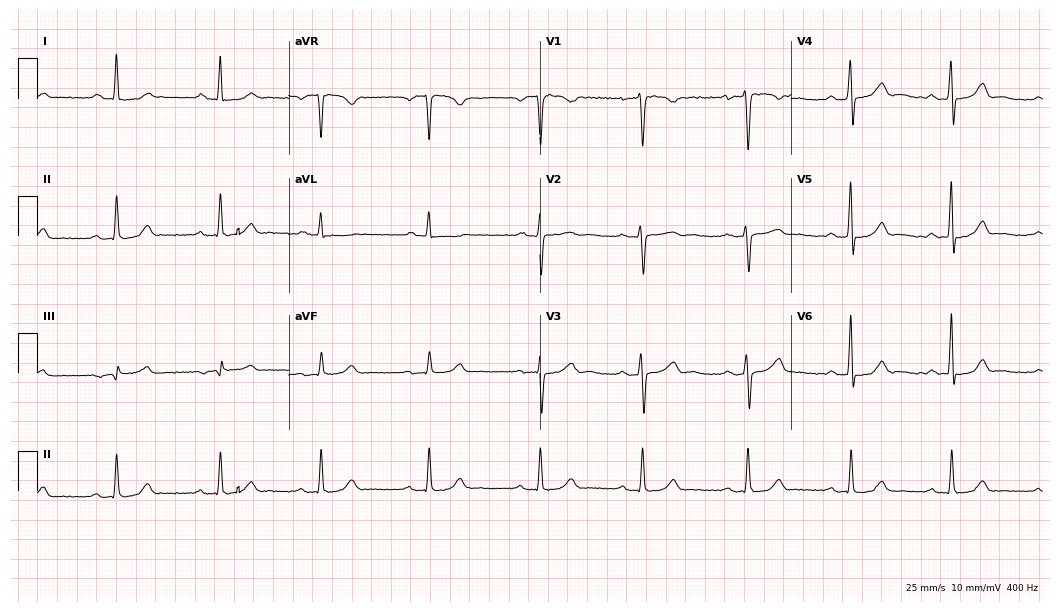
Standard 12-lead ECG recorded from a woman, 51 years old. The tracing shows first-degree AV block.